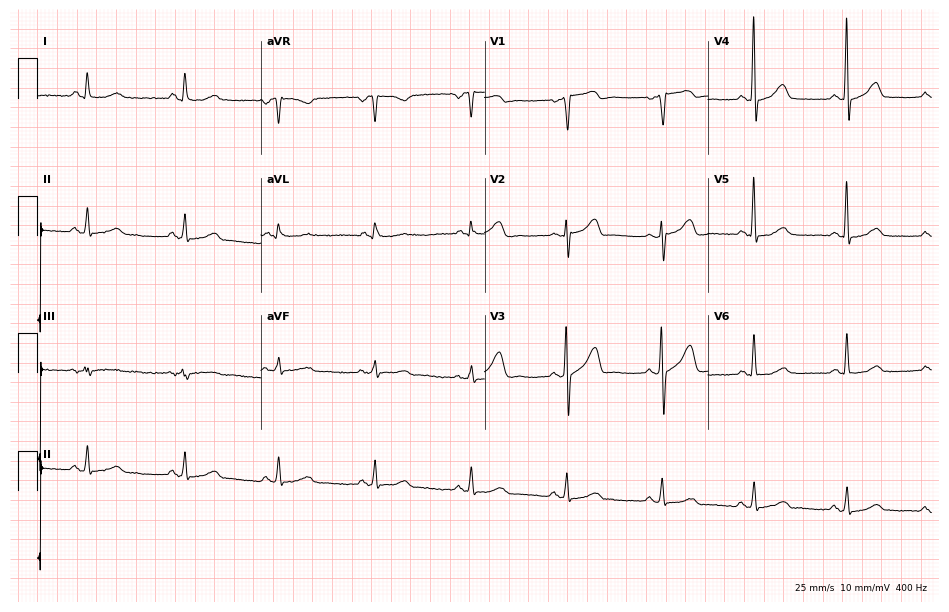
Electrocardiogram, a 55-year-old male. Overall reading on record: normal ECG.